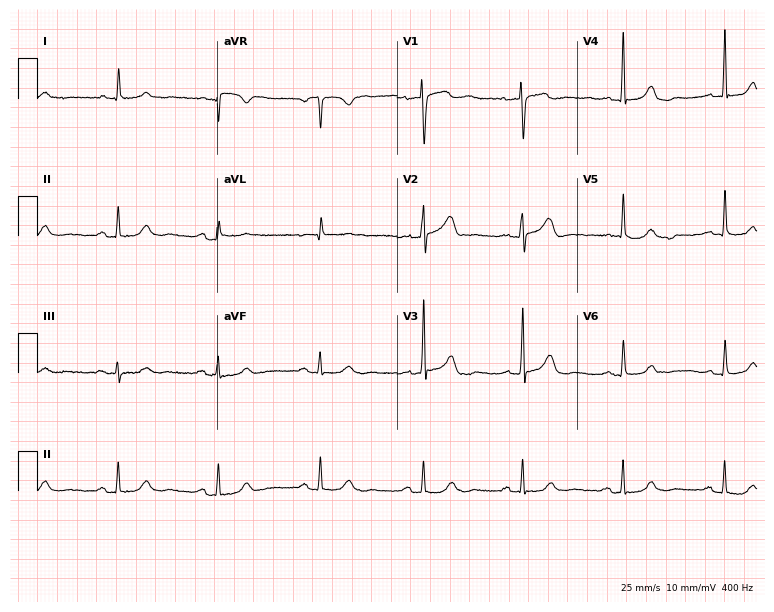
Resting 12-lead electrocardiogram. Patient: a 73-year-old female. Read as a normal ECG.